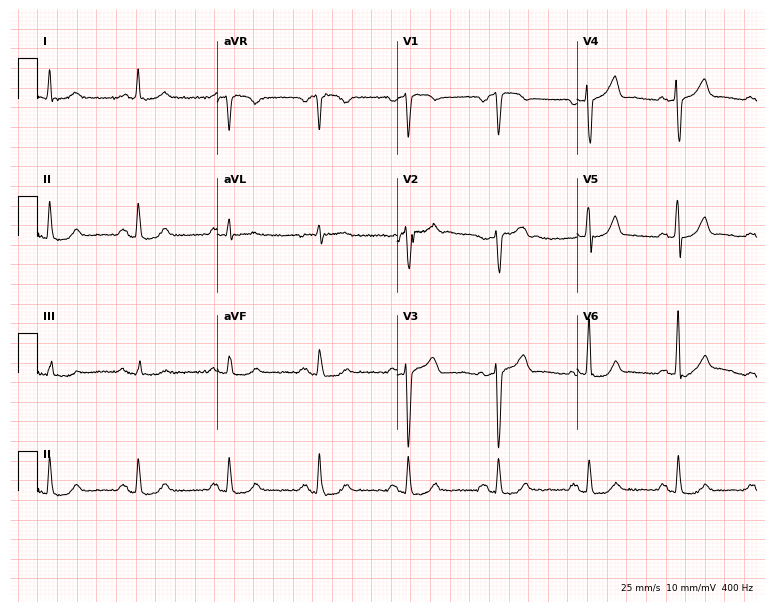
12-lead ECG from a 74-year-old male patient (7.3-second recording at 400 Hz). Recorded interpretation: within normal limits.